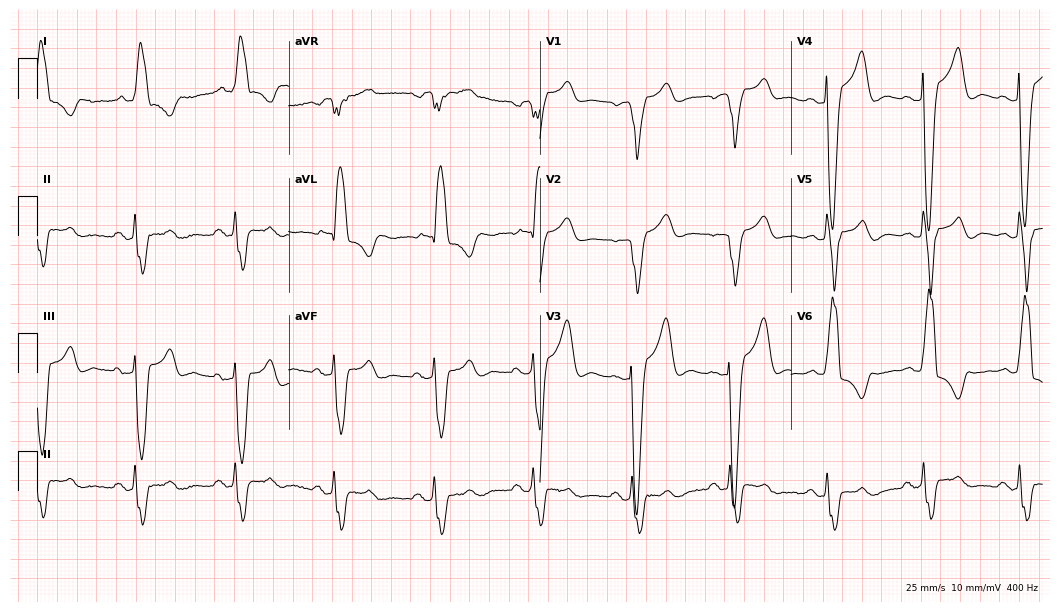
ECG (10.2-second recording at 400 Hz) — a female, 78 years old. Findings include left bundle branch block (LBBB).